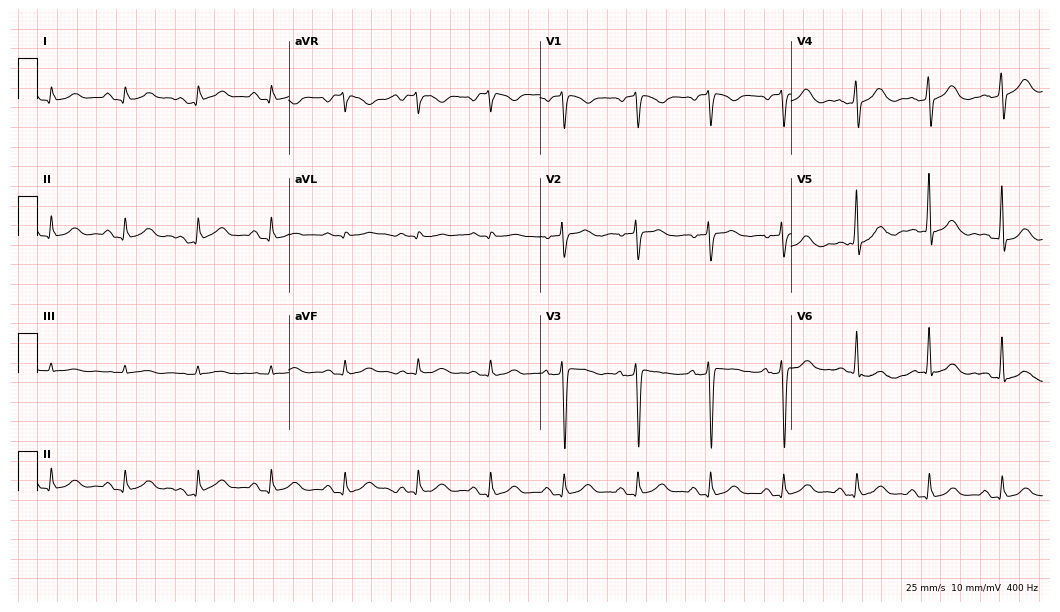
Standard 12-lead ECG recorded from a man, 85 years old (10.2-second recording at 400 Hz). Read as a normal ECG.